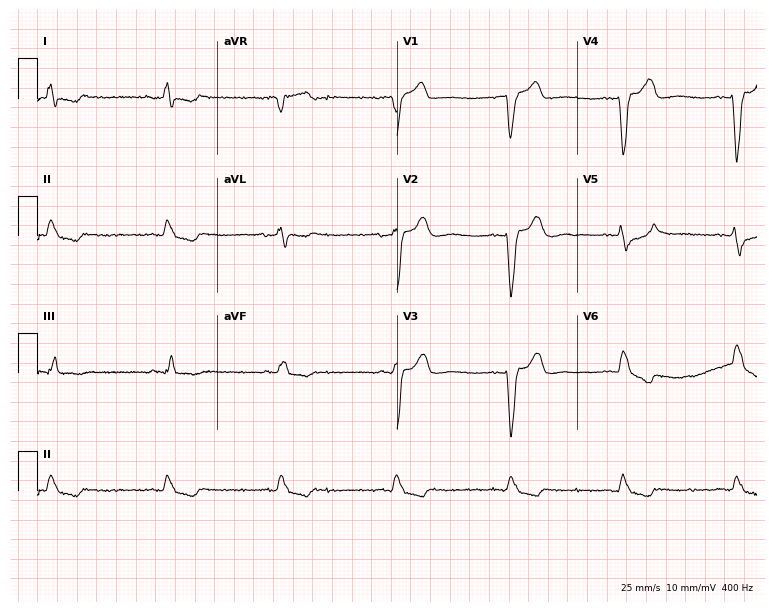
Resting 12-lead electrocardiogram. Patient: a man, 86 years old. The tracing shows left bundle branch block (LBBB).